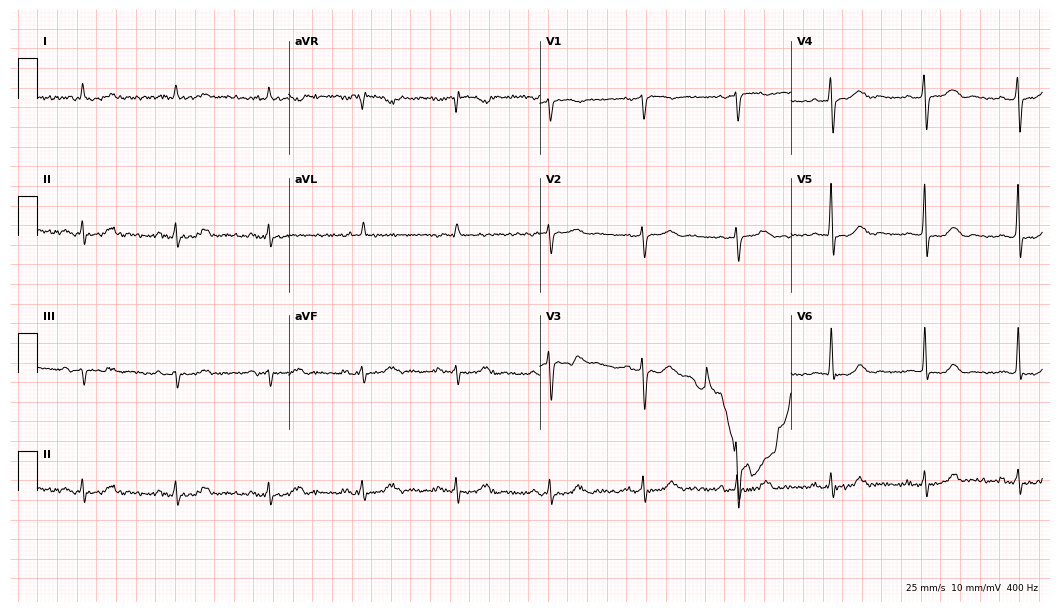
Resting 12-lead electrocardiogram (10.2-second recording at 400 Hz). Patient: a man, 80 years old. Read as a normal ECG.